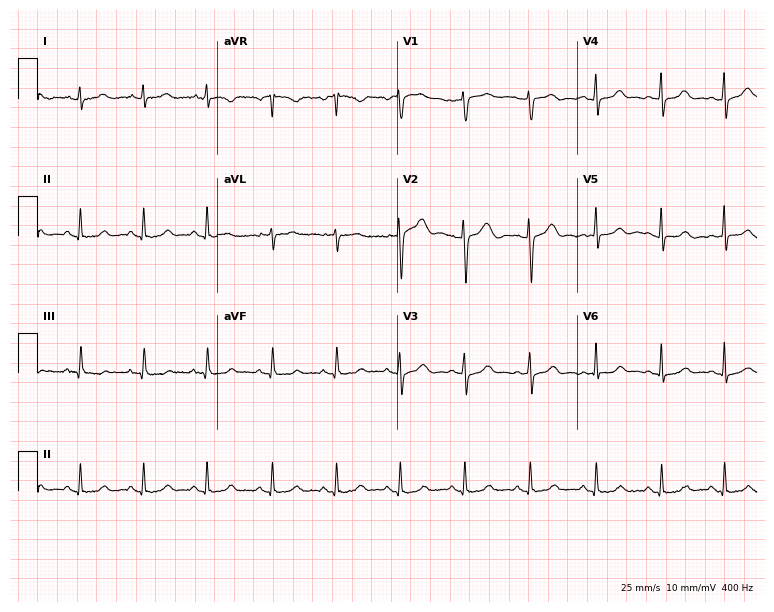
Resting 12-lead electrocardiogram. Patient: a 47-year-old female. Read as a normal ECG.